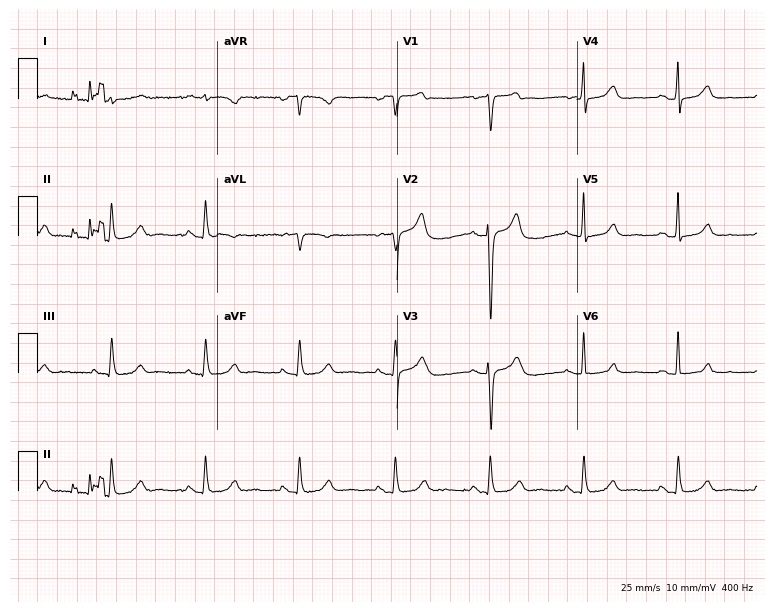
ECG — a 72-year-old man. Screened for six findings — first-degree AV block, right bundle branch block, left bundle branch block, sinus bradycardia, atrial fibrillation, sinus tachycardia — none is recorded.